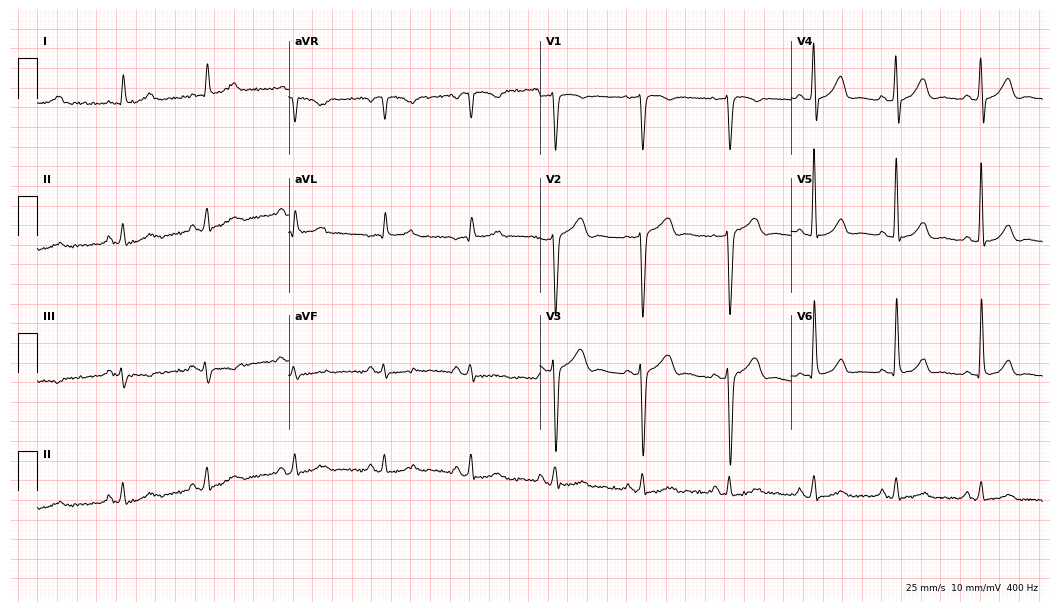
Electrocardiogram (10.2-second recording at 400 Hz), a 68-year-old man. Of the six screened findings (first-degree AV block, right bundle branch block, left bundle branch block, sinus bradycardia, atrial fibrillation, sinus tachycardia), none is recorded. Only these six findings were labelled.